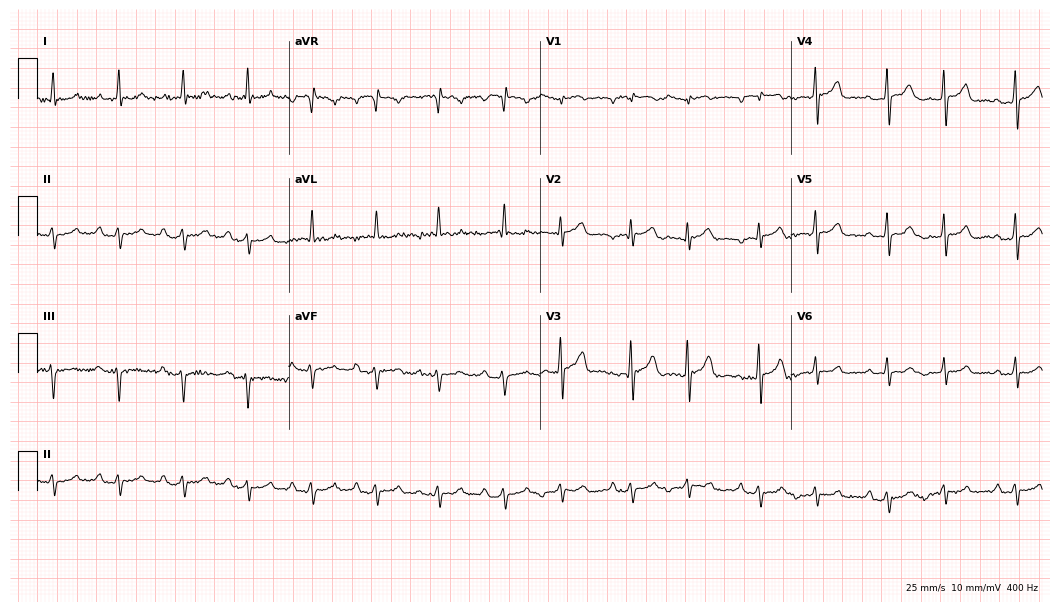
Electrocardiogram (10.2-second recording at 400 Hz), a man, 56 years old. Of the six screened findings (first-degree AV block, right bundle branch block (RBBB), left bundle branch block (LBBB), sinus bradycardia, atrial fibrillation (AF), sinus tachycardia), none is recorded. Findings outside these six are not listed.